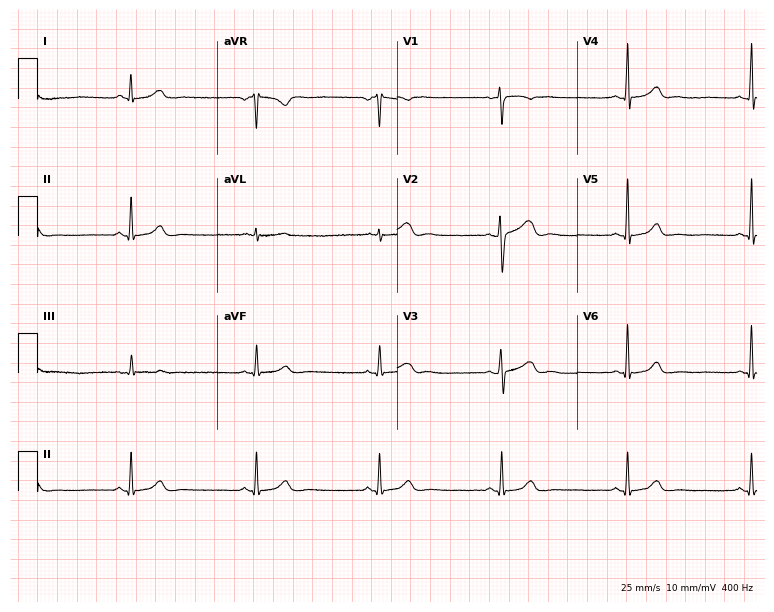
Resting 12-lead electrocardiogram (7.3-second recording at 400 Hz). Patient: a 36-year-old woman. The tracing shows sinus bradycardia (a sinus rate of 50 beats per minute or less).